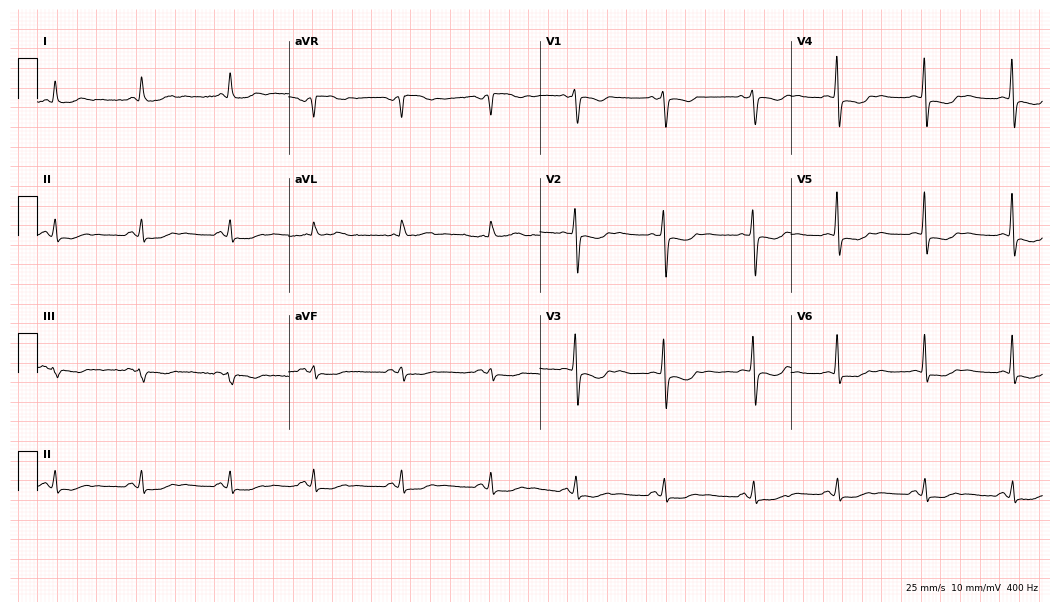
Resting 12-lead electrocardiogram (10.2-second recording at 400 Hz). Patient: a woman, 33 years old. Read as a normal ECG.